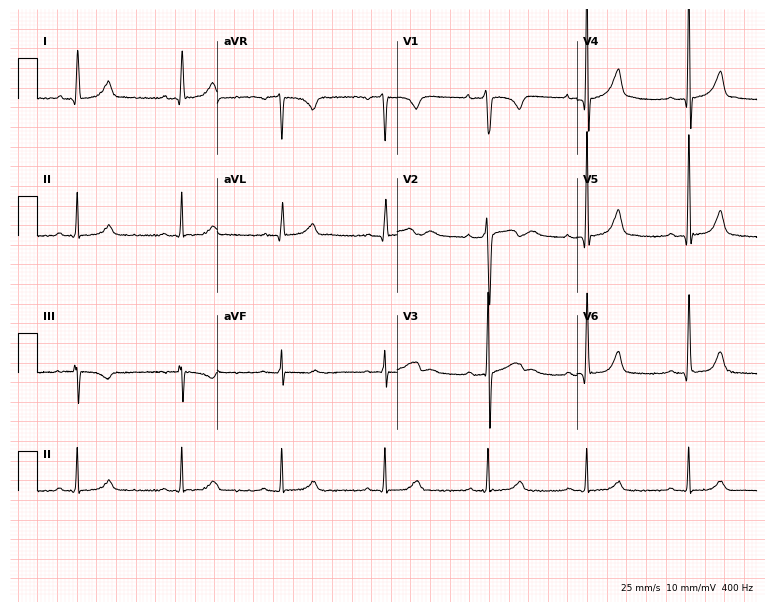
Standard 12-lead ECG recorded from a 27-year-old male patient (7.3-second recording at 400 Hz). Read as a normal ECG.